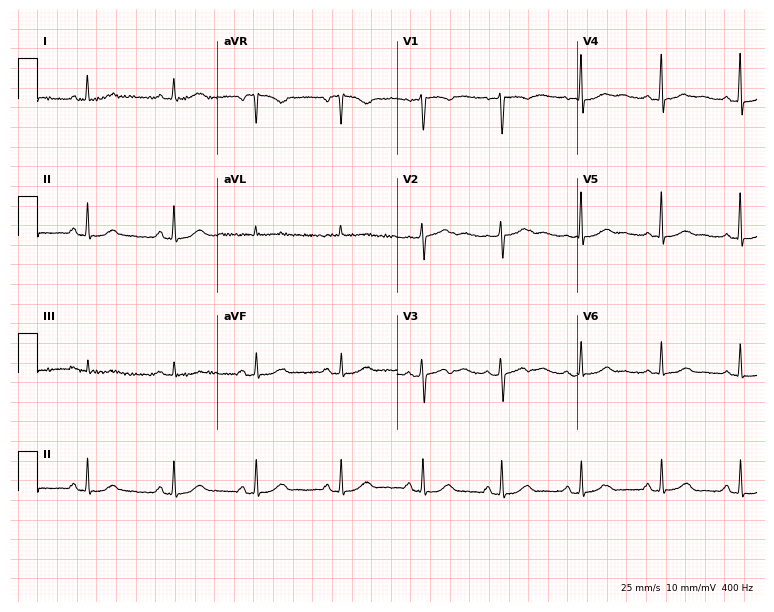
Resting 12-lead electrocardiogram (7.3-second recording at 400 Hz). Patient: a female, 56 years old. Read as a normal ECG.